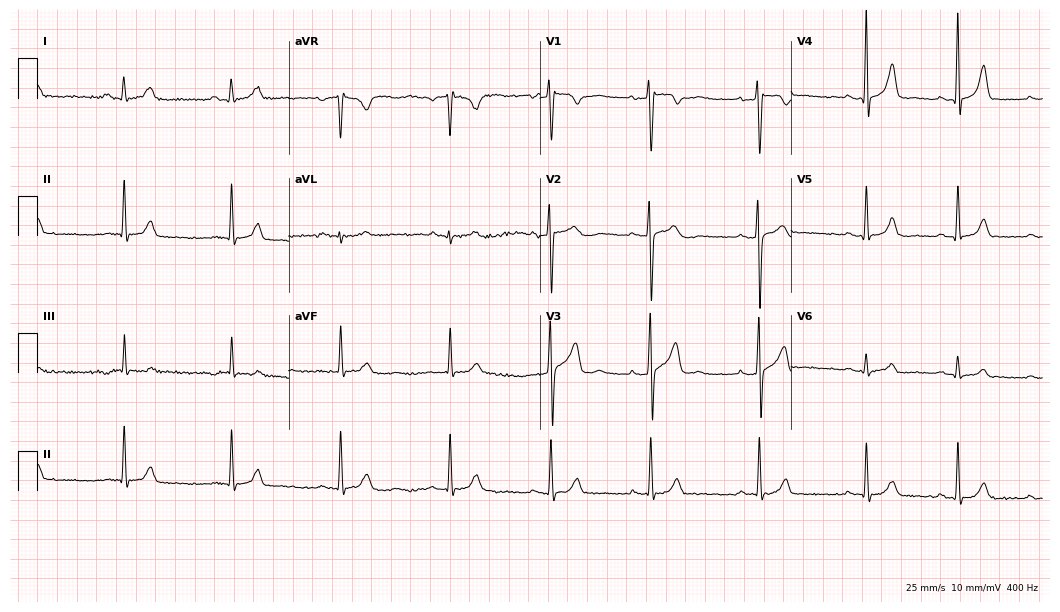
12-lead ECG from a man, 23 years old. Screened for six findings — first-degree AV block, right bundle branch block, left bundle branch block, sinus bradycardia, atrial fibrillation, sinus tachycardia — none is recorded.